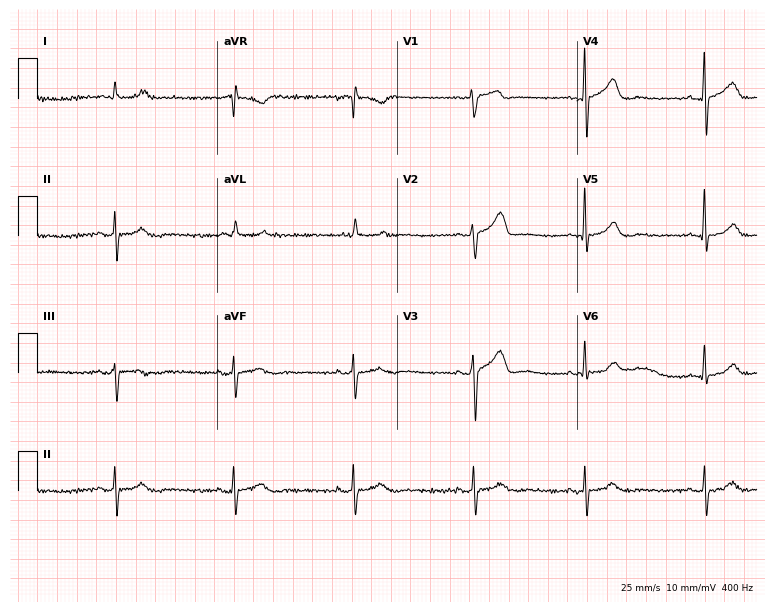
12-lead ECG (7.3-second recording at 400 Hz) from a 72-year-old man. Findings include sinus bradycardia (a sinus rate of 50 beats per minute or less).